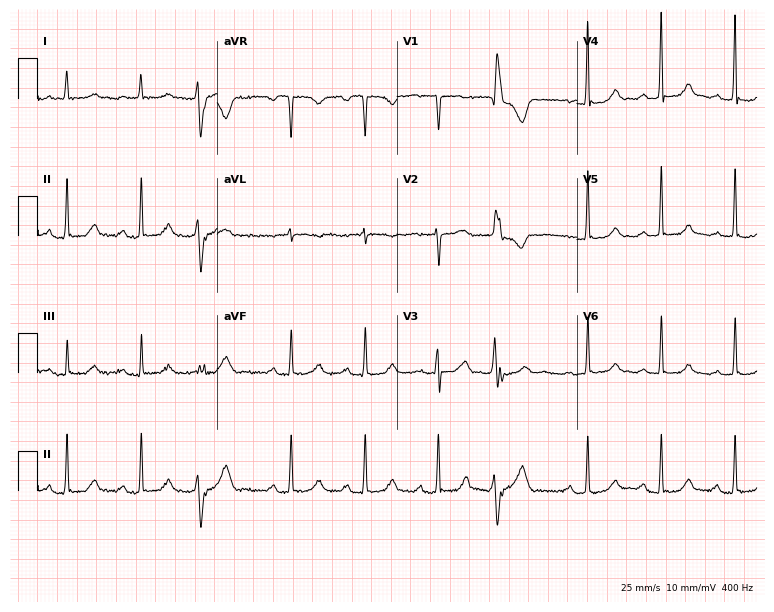
ECG — a 67-year-old woman. Screened for six findings — first-degree AV block, right bundle branch block (RBBB), left bundle branch block (LBBB), sinus bradycardia, atrial fibrillation (AF), sinus tachycardia — none is recorded.